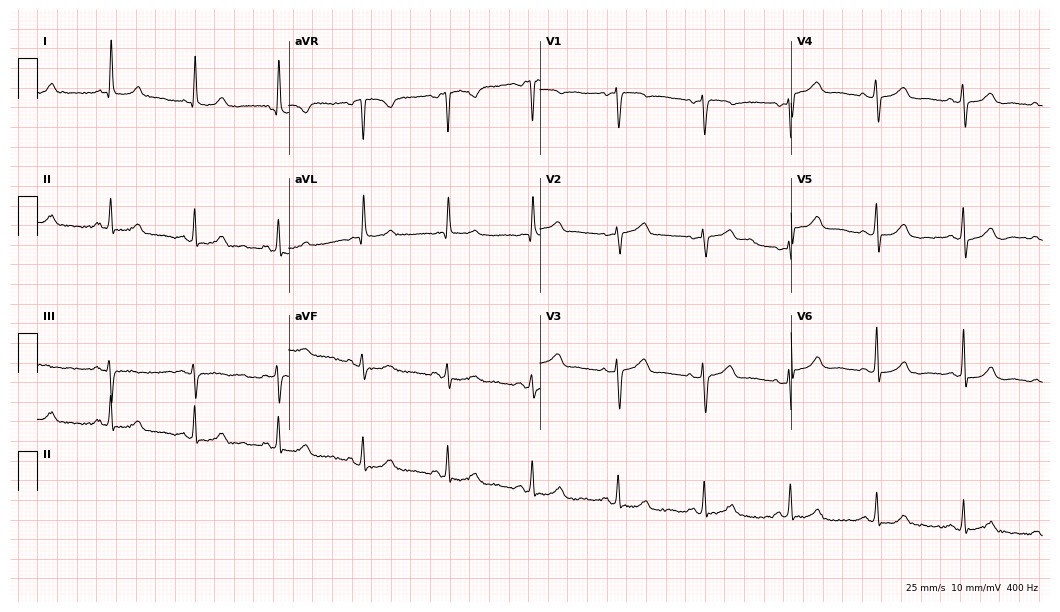
ECG — a female patient, 71 years old. Screened for six findings — first-degree AV block, right bundle branch block, left bundle branch block, sinus bradycardia, atrial fibrillation, sinus tachycardia — none is recorded.